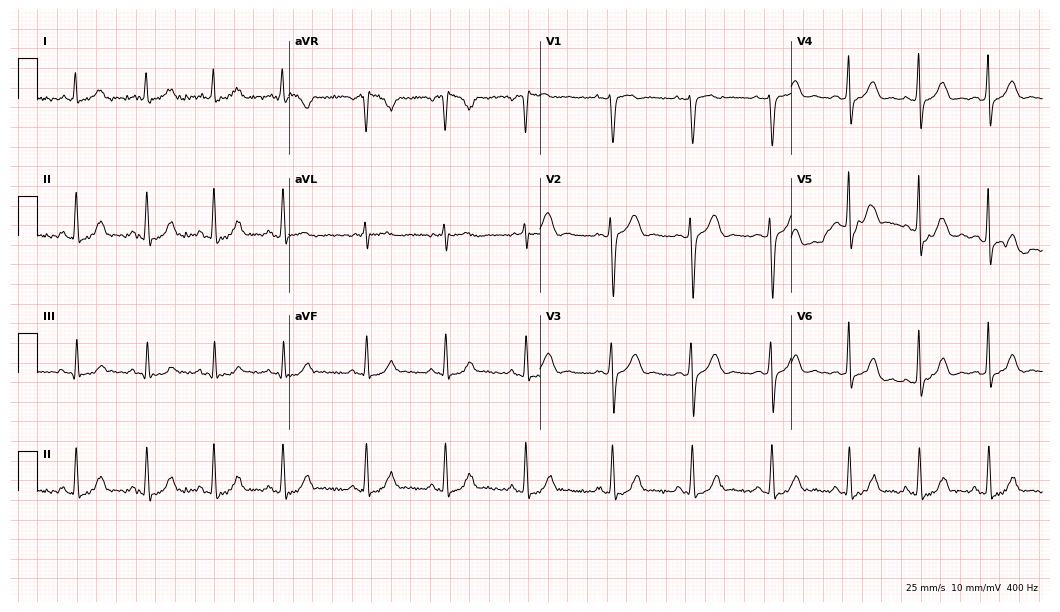
Resting 12-lead electrocardiogram (10.2-second recording at 400 Hz). Patient: a 22-year-old female. Read as a normal ECG.